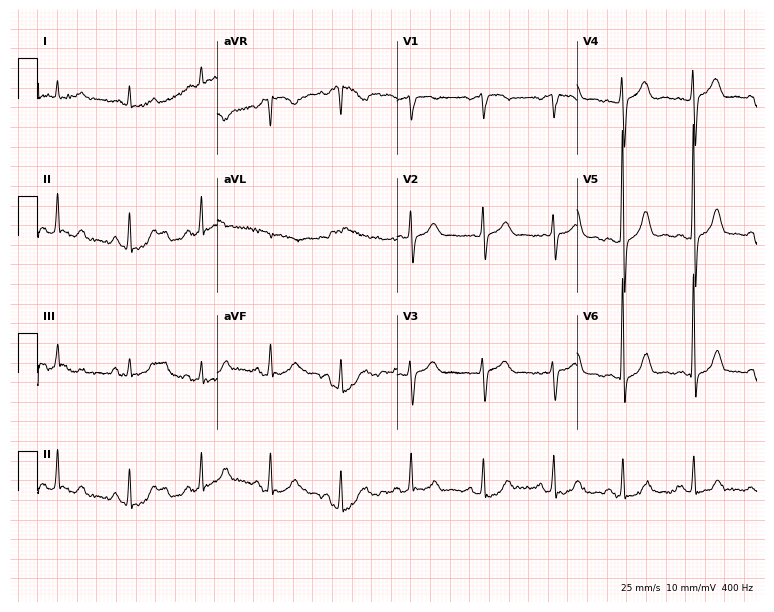
12-lead ECG (7.3-second recording at 400 Hz) from a man, 45 years old. Screened for six findings — first-degree AV block, right bundle branch block, left bundle branch block, sinus bradycardia, atrial fibrillation, sinus tachycardia — none is recorded. Other findings, if any, are not listed.